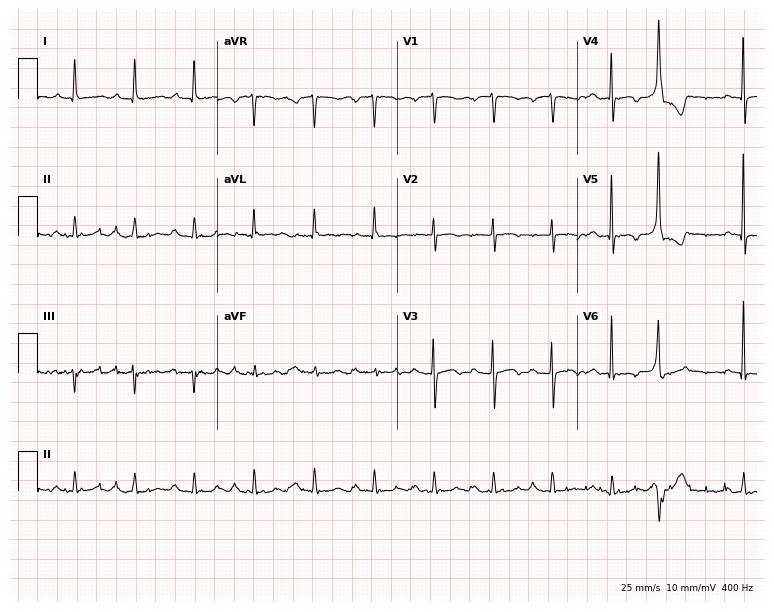
12-lead ECG from a woman, 83 years old. No first-degree AV block, right bundle branch block (RBBB), left bundle branch block (LBBB), sinus bradycardia, atrial fibrillation (AF) or sinus tachycardia recorded for this tracing.